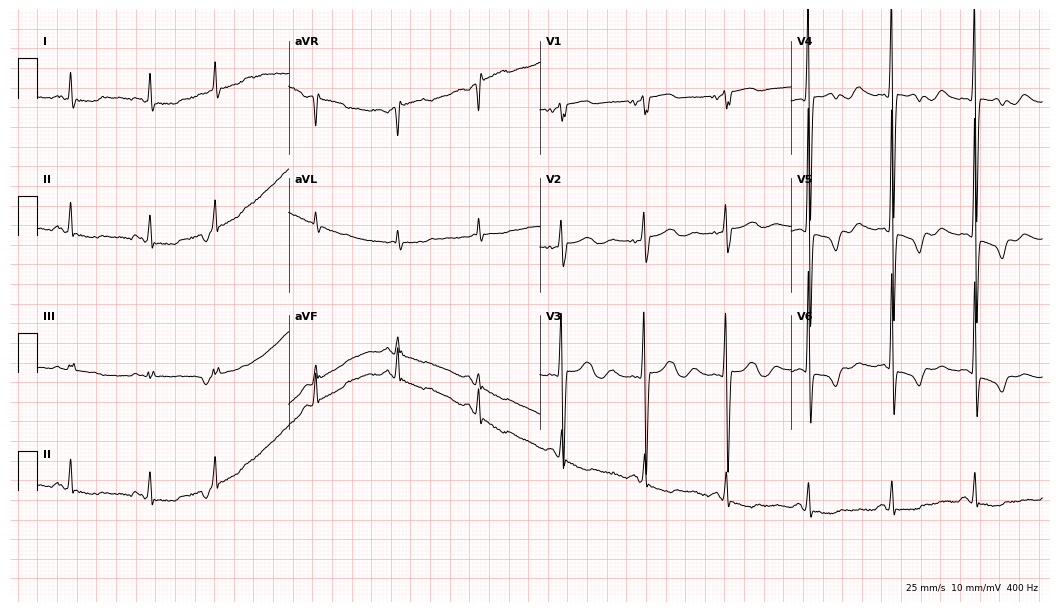
Resting 12-lead electrocardiogram (10.2-second recording at 400 Hz). Patient: a 78-year-old male. None of these six findings is recorded: first-degree AV block, right bundle branch block, left bundle branch block, sinus bradycardia, atrial fibrillation, sinus tachycardia. Findings outside these six are not listed.